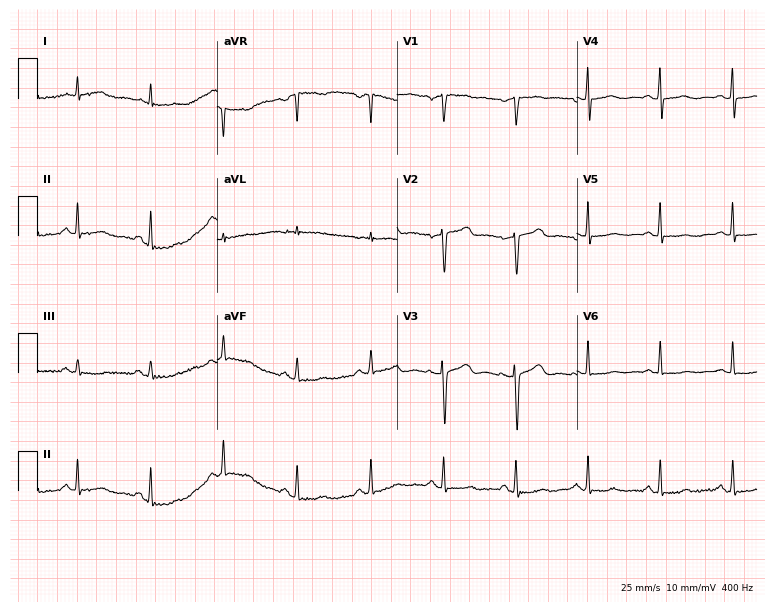
Standard 12-lead ECG recorded from a female, 52 years old (7.3-second recording at 400 Hz). Read as a normal ECG.